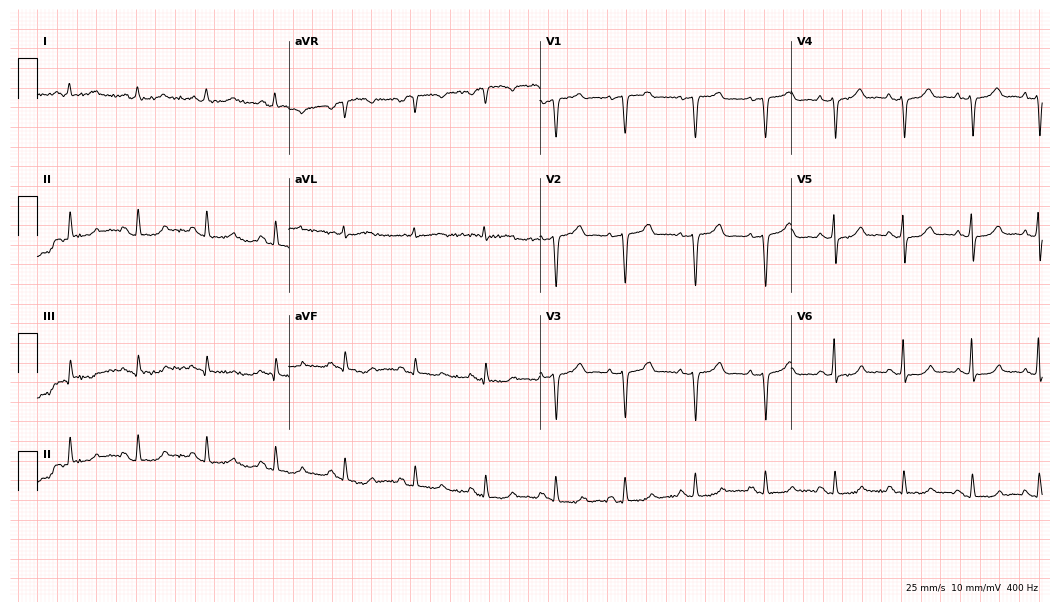
12-lead ECG from a woman, 72 years old (10.2-second recording at 400 Hz). No first-degree AV block, right bundle branch block, left bundle branch block, sinus bradycardia, atrial fibrillation or sinus tachycardia recorded for this tracing.